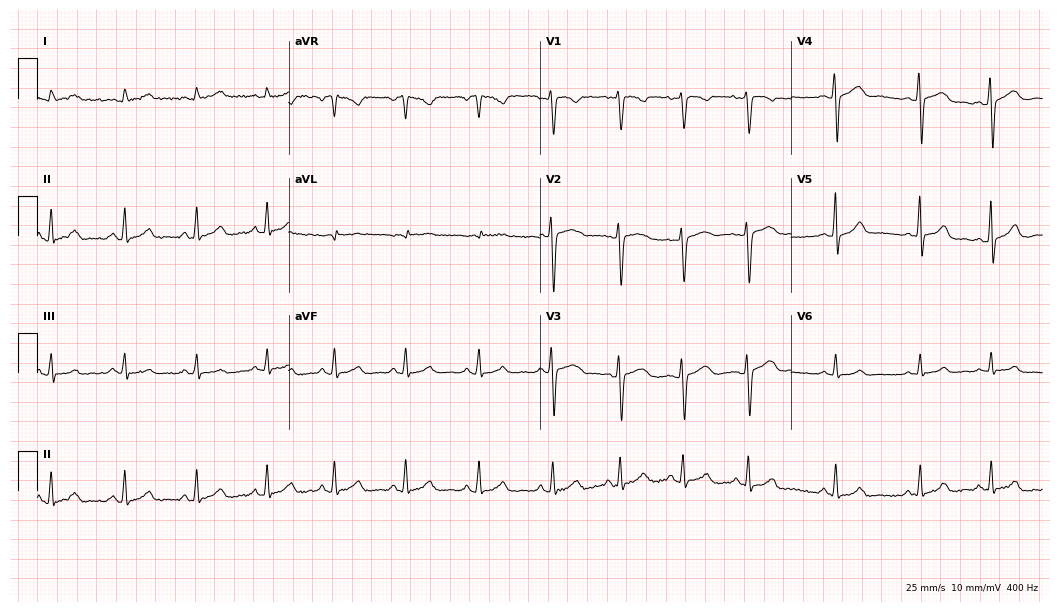
Standard 12-lead ECG recorded from a 27-year-old female patient (10.2-second recording at 400 Hz). Read as a normal ECG.